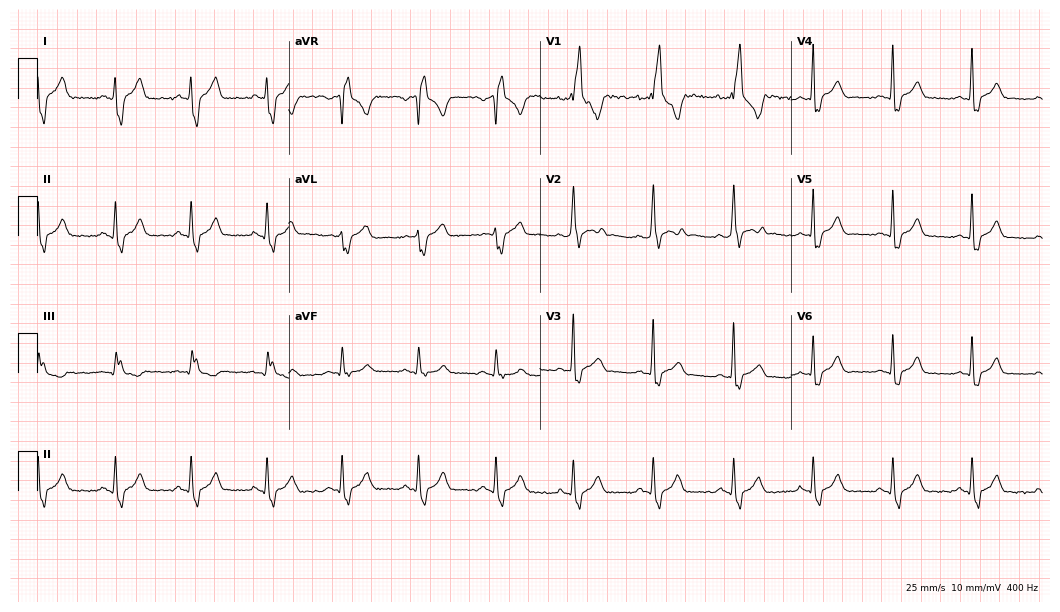
ECG (10.2-second recording at 400 Hz) — a male patient, 31 years old. Findings include right bundle branch block.